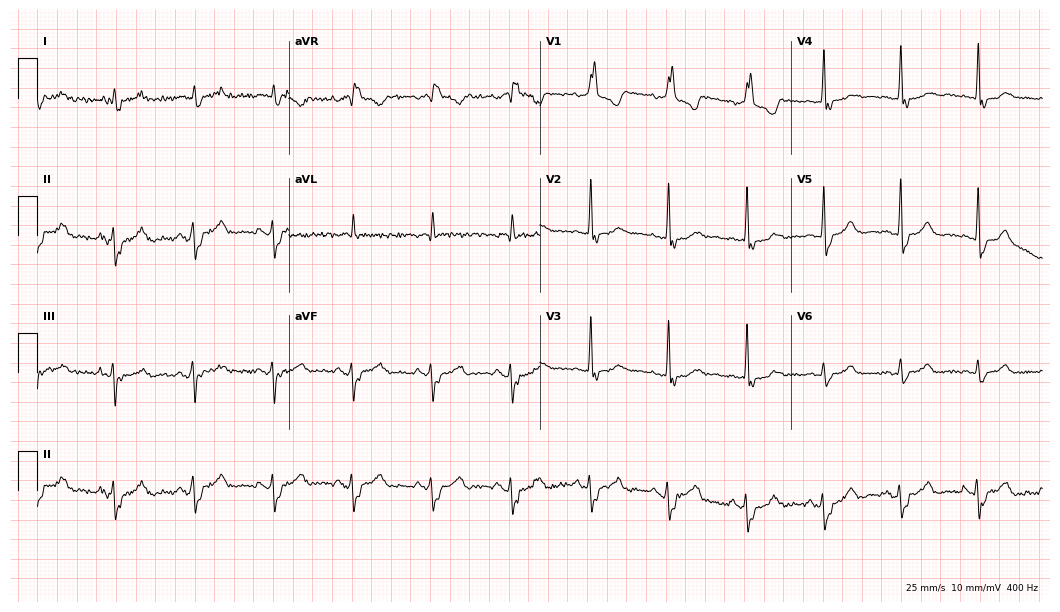
ECG — a male, 81 years old. Findings include right bundle branch block.